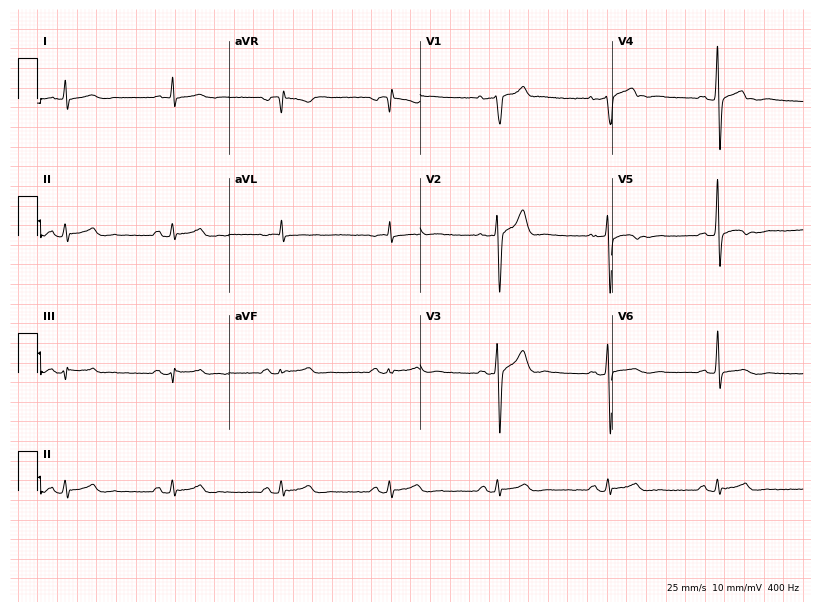
ECG (7.8-second recording at 400 Hz) — a 44-year-old male patient. Screened for six findings — first-degree AV block, right bundle branch block (RBBB), left bundle branch block (LBBB), sinus bradycardia, atrial fibrillation (AF), sinus tachycardia — none is recorded.